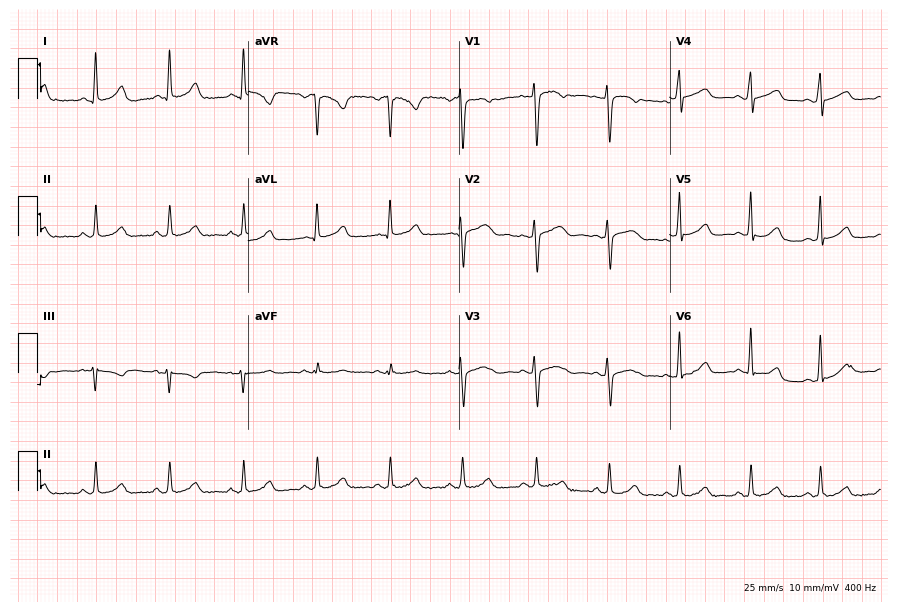
Electrocardiogram, a female, 50 years old. Overall reading on record: normal ECG.